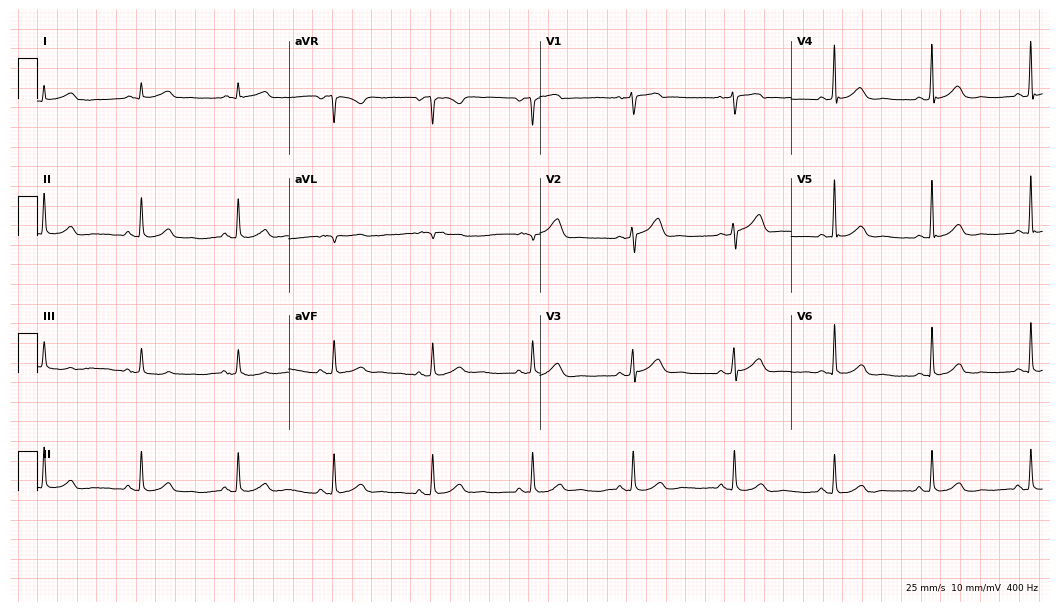
Standard 12-lead ECG recorded from a woman, 65 years old. Read as a normal ECG.